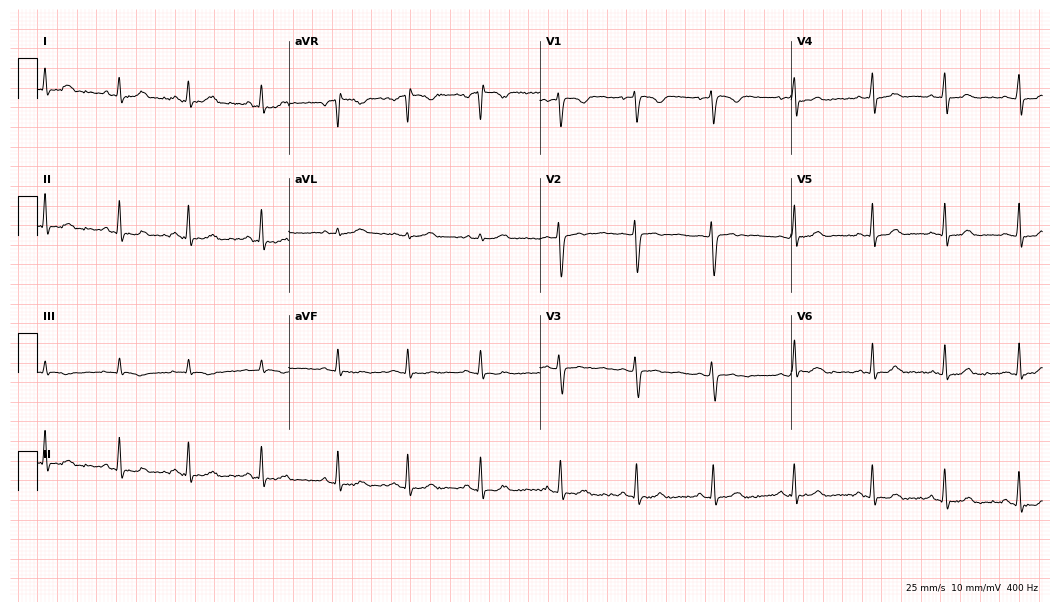
ECG — a 17-year-old female patient. Labelled as a normal ECG.